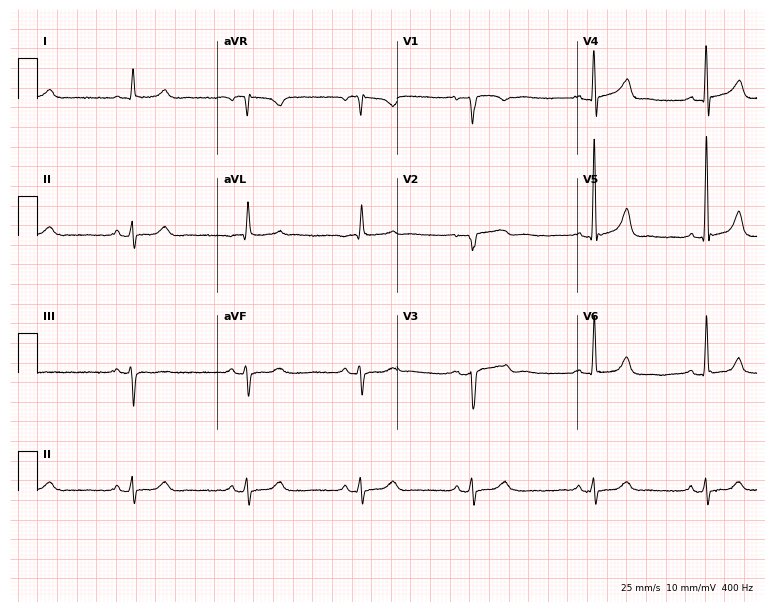
12-lead ECG (7.3-second recording at 400 Hz) from a 71-year-old woman. Labelled as a normal ECG.